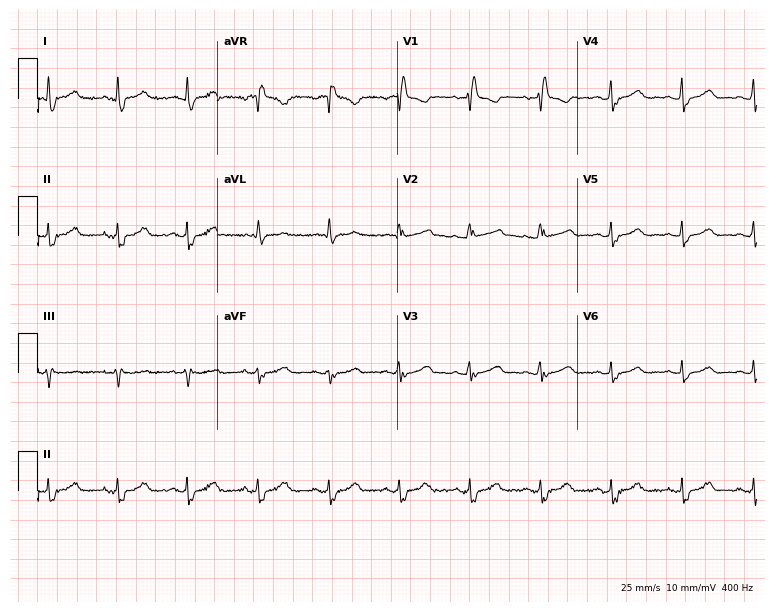
12-lead ECG from a 41-year-old female patient. Shows right bundle branch block.